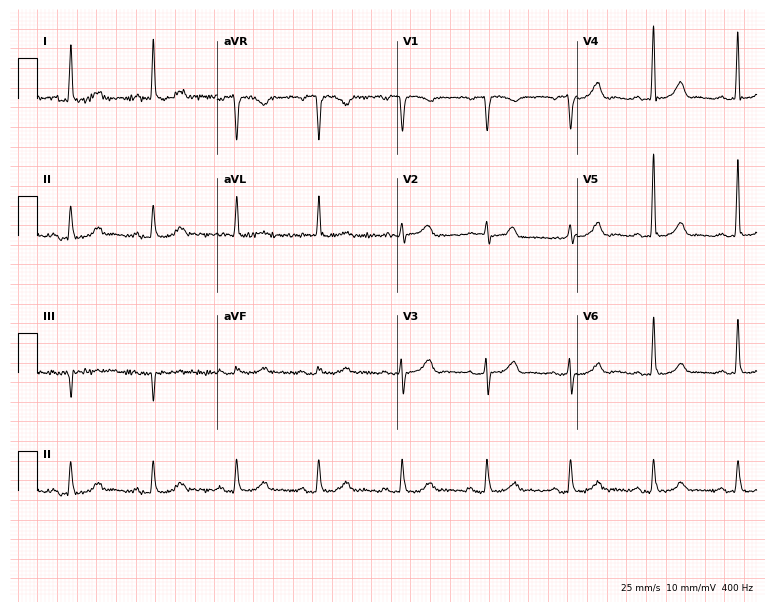
ECG (7.3-second recording at 400 Hz) — a 63-year-old female. Screened for six findings — first-degree AV block, right bundle branch block, left bundle branch block, sinus bradycardia, atrial fibrillation, sinus tachycardia — none is recorded. Findings outside these six are not listed.